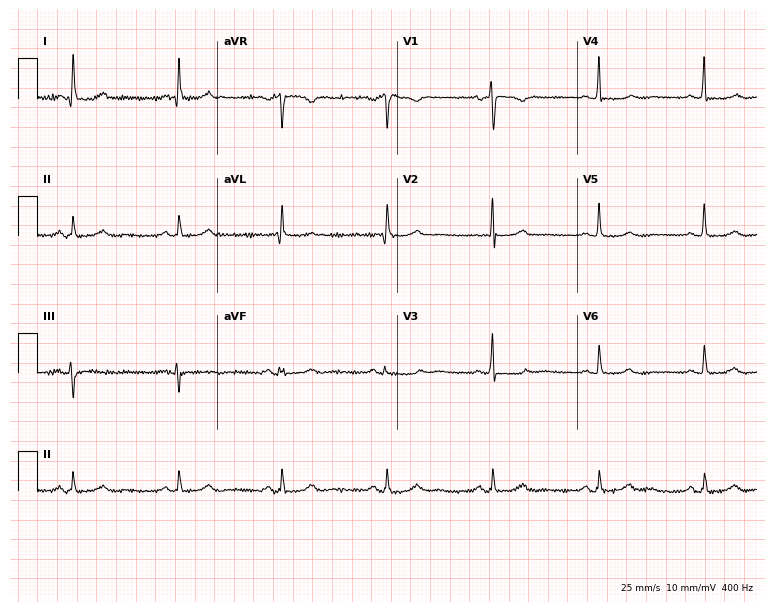
Standard 12-lead ECG recorded from a female patient, 68 years old. Read as a normal ECG.